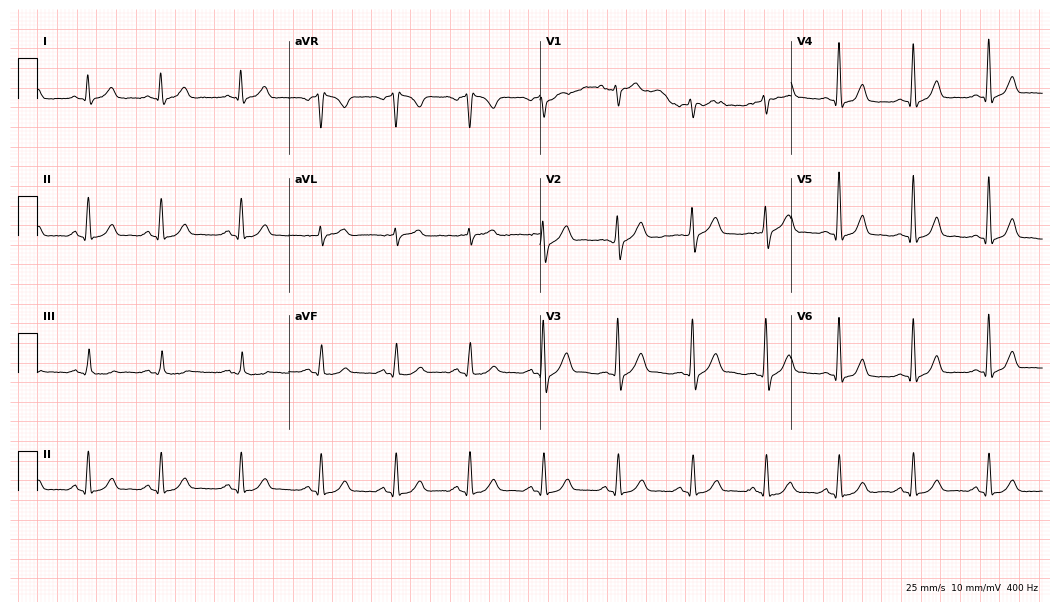
12-lead ECG from a 57-year-old man. Screened for six findings — first-degree AV block, right bundle branch block (RBBB), left bundle branch block (LBBB), sinus bradycardia, atrial fibrillation (AF), sinus tachycardia — none is recorded.